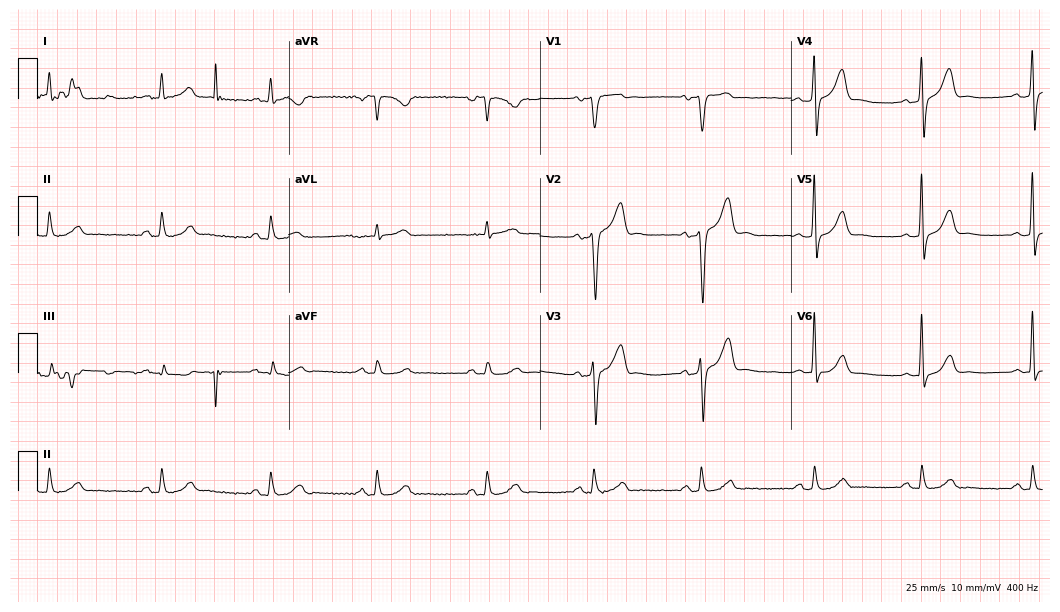
Electrocardiogram, a 61-year-old male. Overall reading on record: normal ECG.